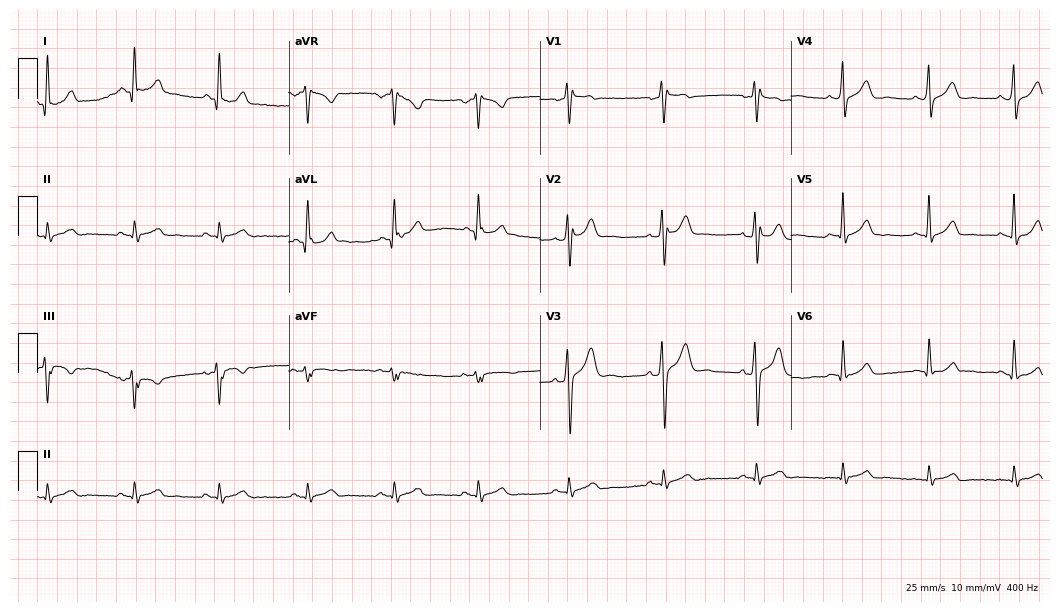
Resting 12-lead electrocardiogram. Patient: a 29-year-old male. None of these six findings is recorded: first-degree AV block, right bundle branch block, left bundle branch block, sinus bradycardia, atrial fibrillation, sinus tachycardia.